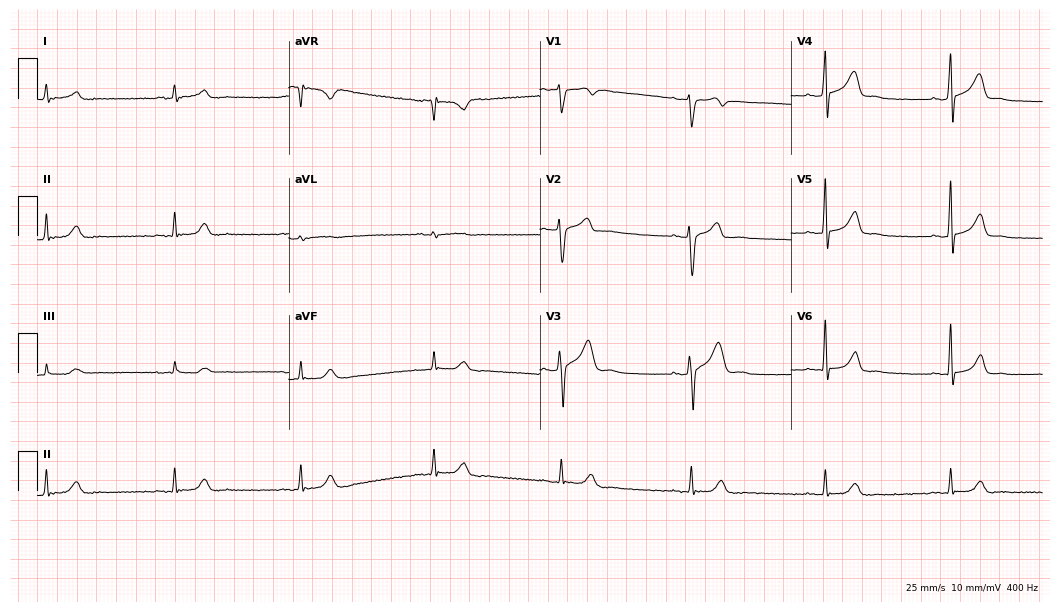
12-lead ECG from a male, 28 years old. Shows sinus bradycardia (a sinus rate of 50 beats per minute or less).